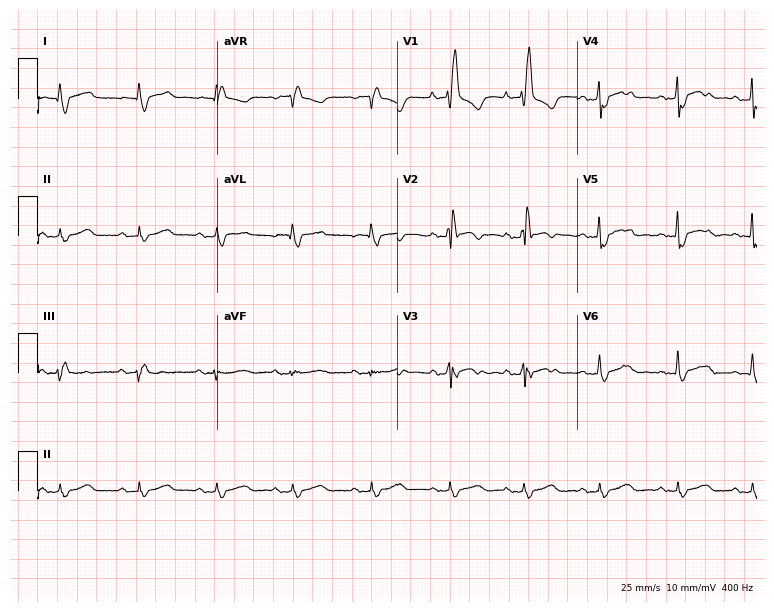
Resting 12-lead electrocardiogram (7.3-second recording at 400 Hz). Patient: a 64-year-old man. The tracing shows right bundle branch block.